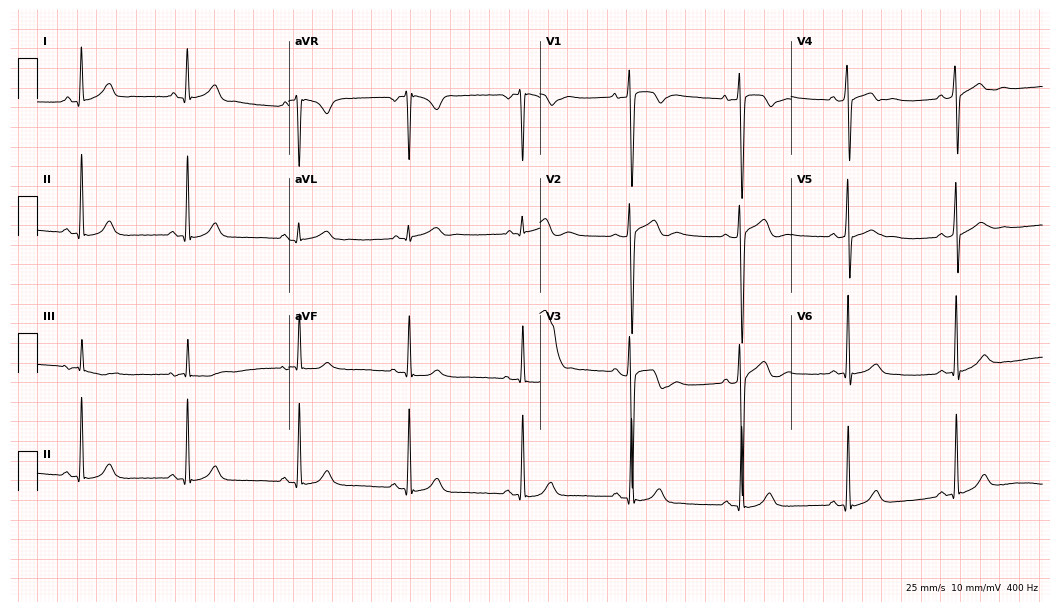
12-lead ECG from a 22-year-old male. Labelled as a normal ECG.